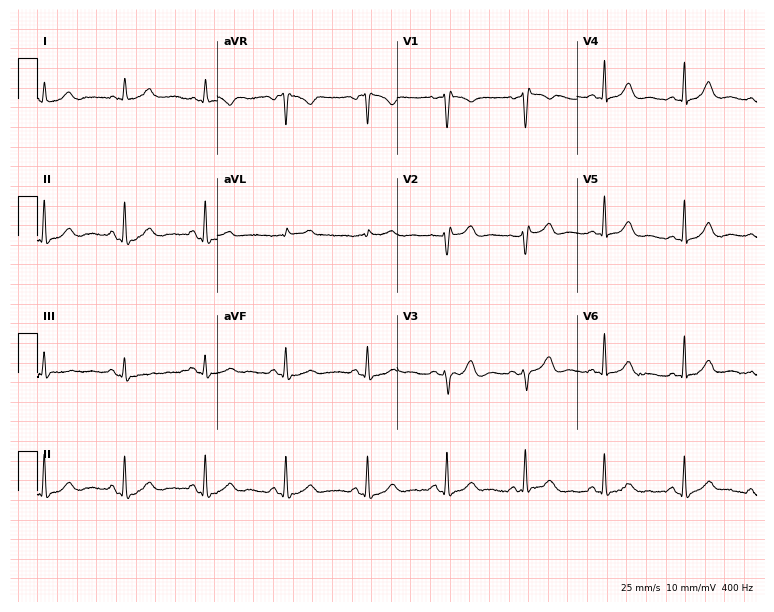
12-lead ECG from a 57-year-old woman. No first-degree AV block, right bundle branch block (RBBB), left bundle branch block (LBBB), sinus bradycardia, atrial fibrillation (AF) or sinus tachycardia recorded for this tracing.